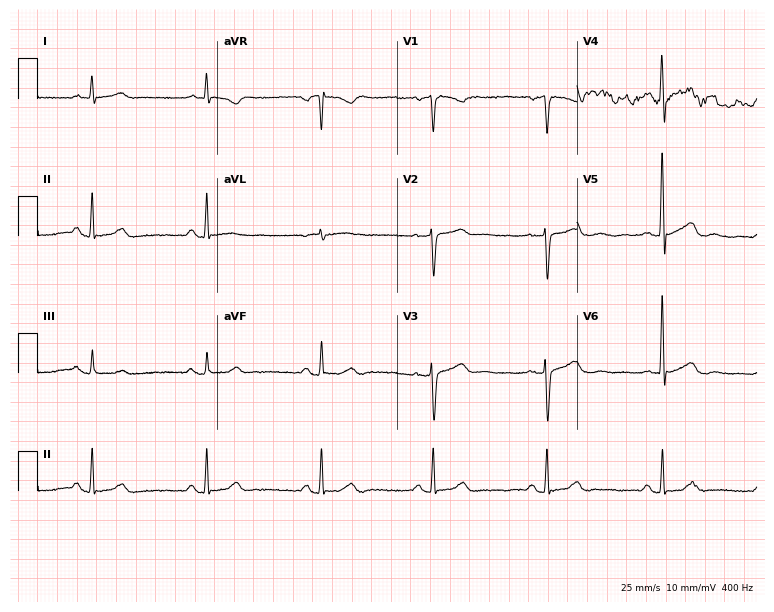
12-lead ECG (7.3-second recording at 400 Hz) from a 32-year-old male. Screened for six findings — first-degree AV block, right bundle branch block, left bundle branch block, sinus bradycardia, atrial fibrillation, sinus tachycardia — none is recorded. Findings outside these six are not listed.